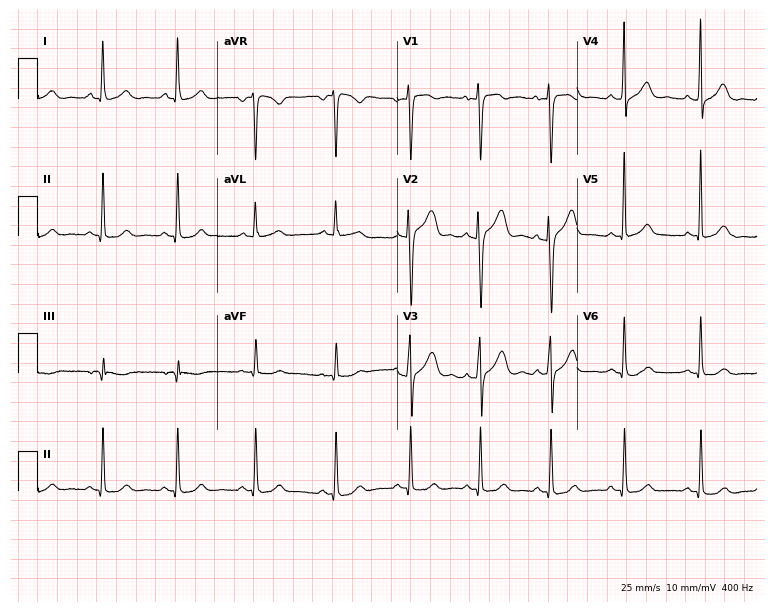
Electrocardiogram, a woman, 30 years old. Of the six screened findings (first-degree AV block, right bundle branch block, left bundle branch block, sinus bradycardia, atrial fibrillation, sinus tachycardia), none is recorded.